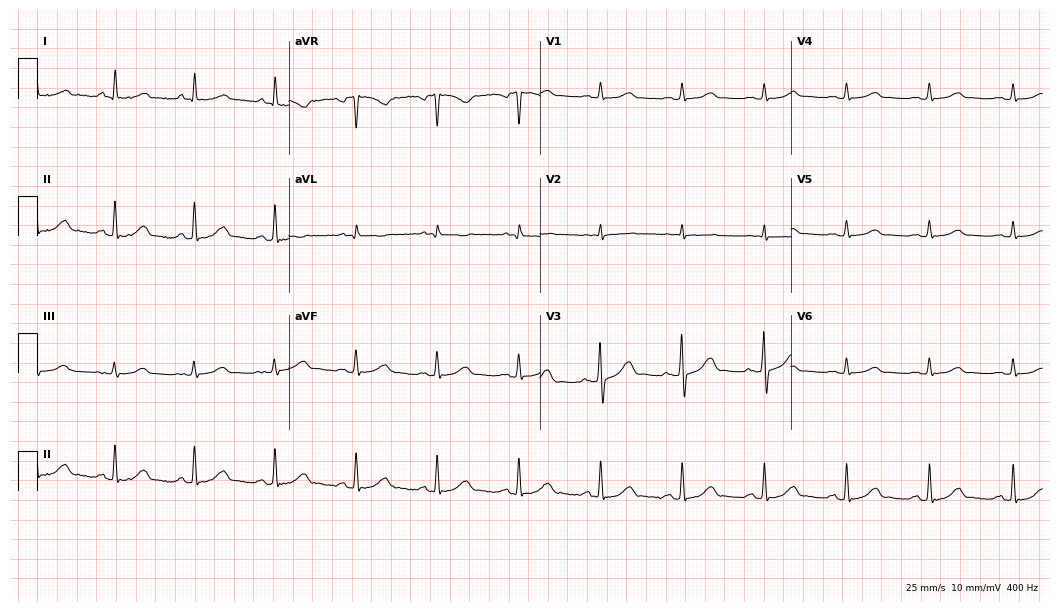
Standard 12-lead ECG recorded from a woman, 65 years old. Read as a normal ECG.